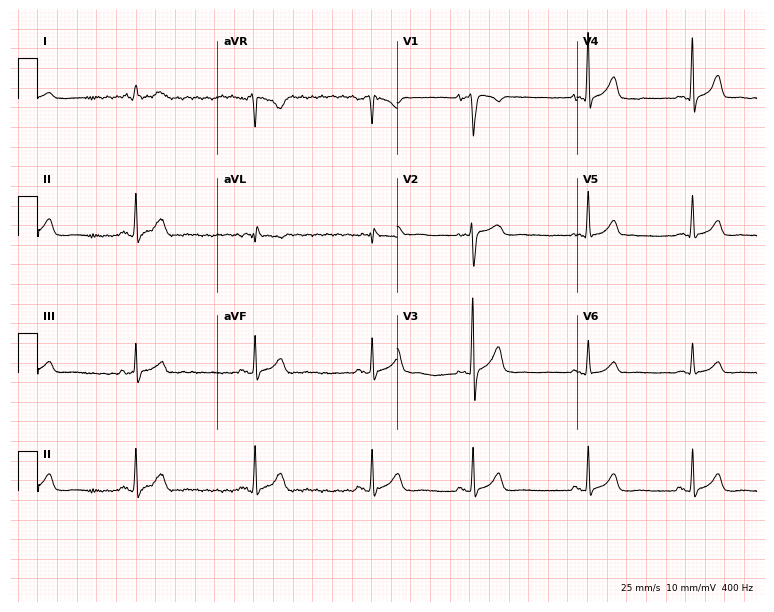
ECG — a man, 17 years old. Labelled as a normal ECG.